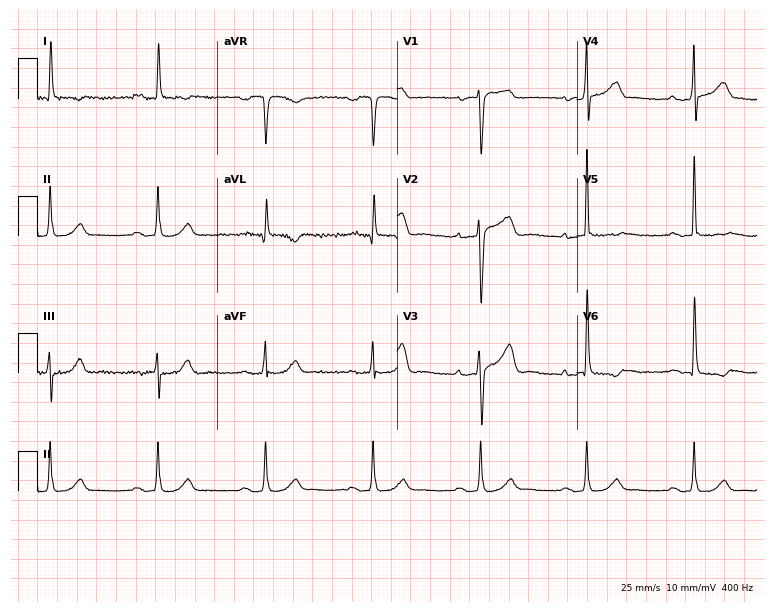
Electrocardiogram, a 73-year-old male. Overall reading on record: normal ECG.